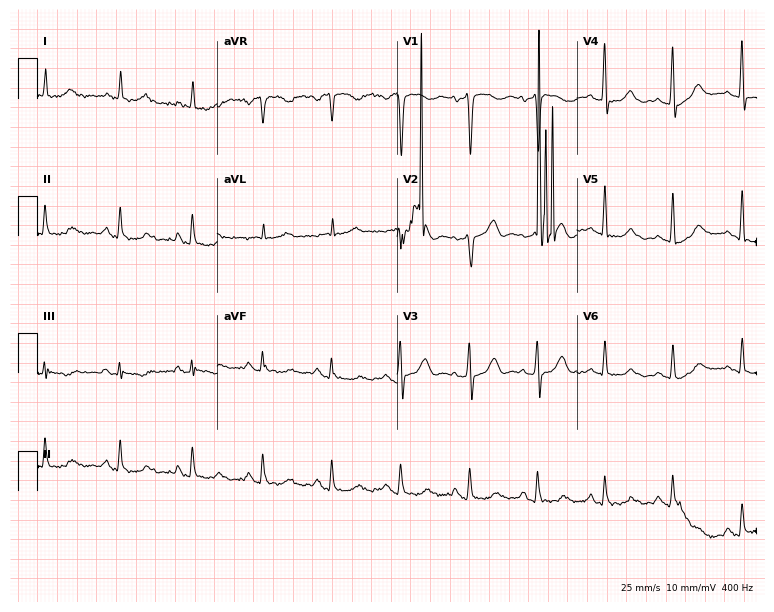
Electrocardiogram (7.3-second recording at 400 Hz), a man, 58 years old. Of the six screened findings (first-degree AV block, right bundle branch block (RBBB), left bundle branch block (LBBB), sinus bradycardia, atrial fibrillation (AF), sinus tachycardia), none is recorded. Findings outside these six are not listed.